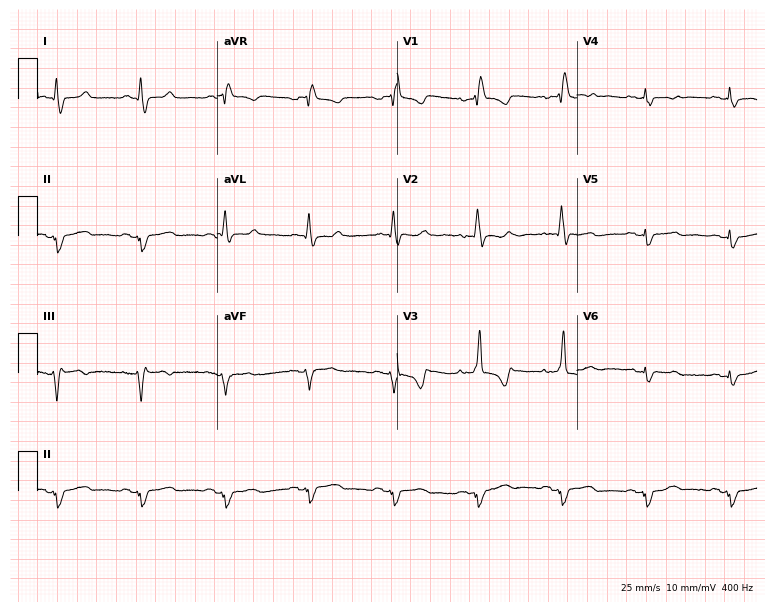
12-lead ECG from a female, 56 years old. Shows right bundle branch block (RBBB).